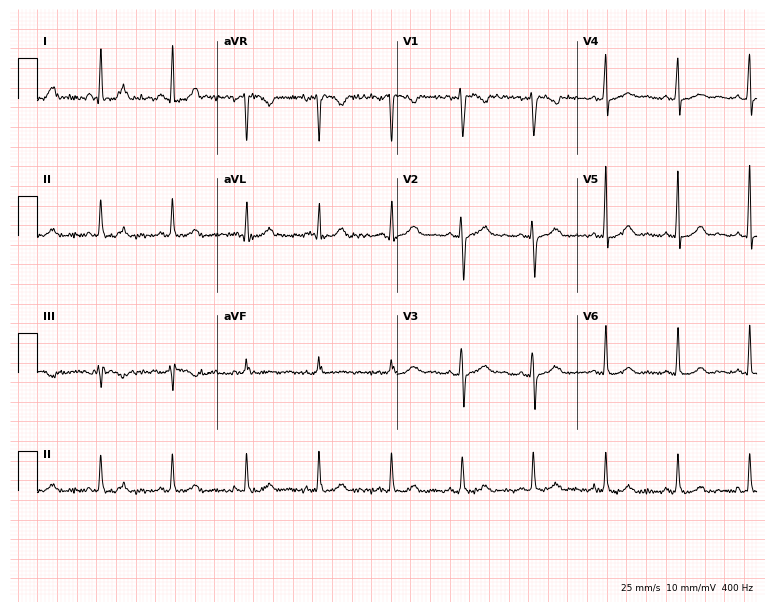
ECG (7.3-second recording at 400 Hz) — a female patient, 26 years old. Screened for six findings — first-degree AV block, right bundle branch block (RBBB), left bundle branch block (LBBB), sinus bradycardia, atrial fibrillation (AF), sinus tachycardia — none is recorded.